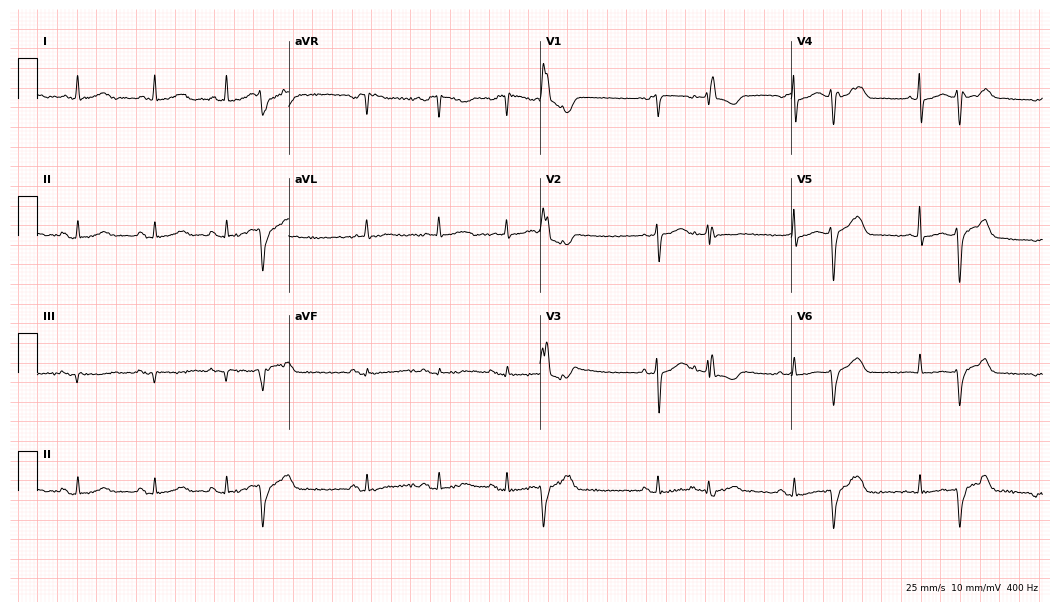
12-lead ECG from a female patient, 68 years old (10.2-second recording at 400 Hz). No first-degree AV block, right bundle branch block, left bundle branch block, sinus bradycardia, atrial fibrillation or sinus tachycardia recorded for this tracing. Findings outside these six are not listed.